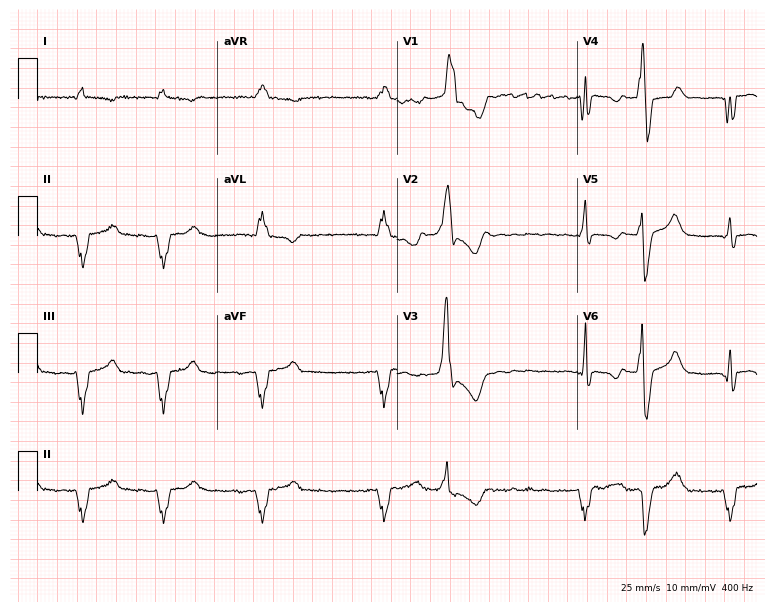
Electrocardiogram (7.3-second recording at 400 Hz), a 68-year-old man. Interpretation includes right bundle branch block (RBBB), atrial fibrillation (AF).